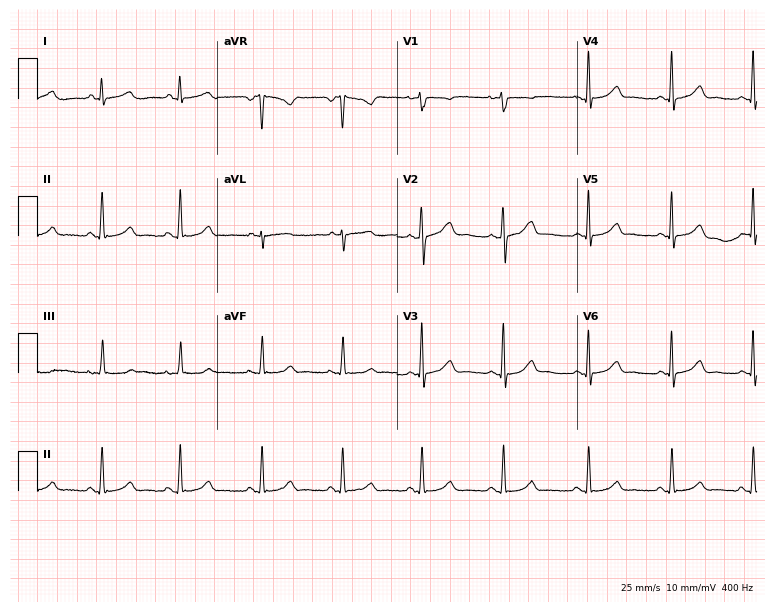
Electrocardiogram (7.3-second recording at 400 Hz), a woman, 25 years old. Overall reading on record: normal ECG.